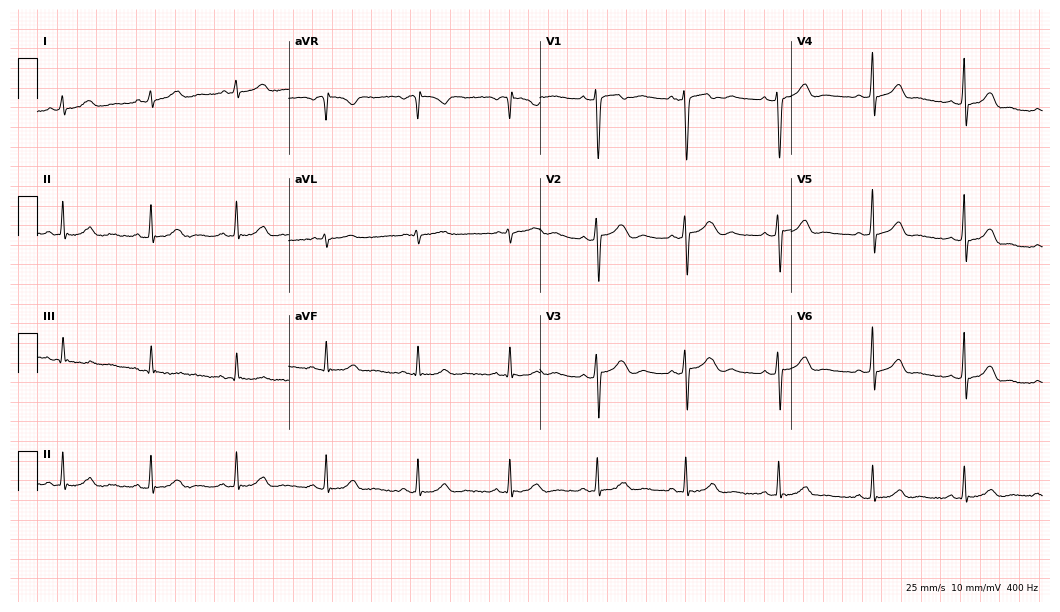
12-lead ECG from a 20-year-old female. Recorded interpretation: within normal limits.